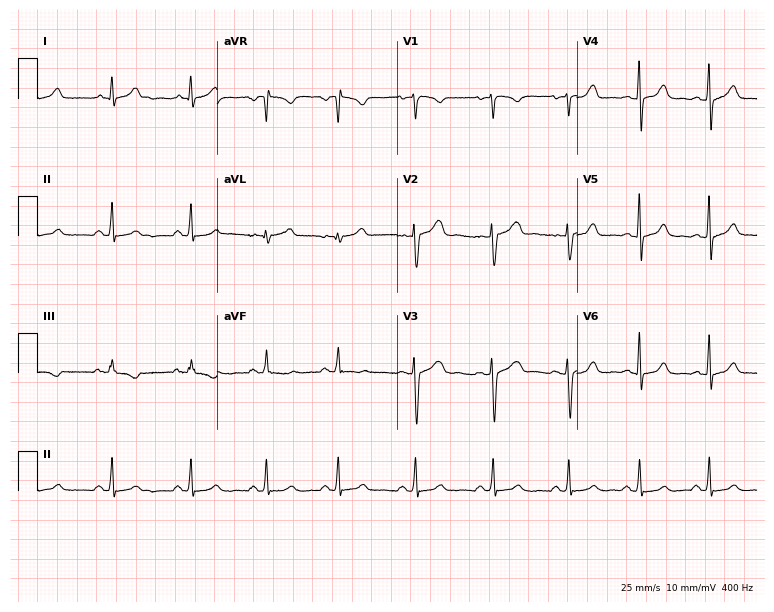
ECG (7.3-second recording at 400 Hz) — a 41-year-old female. Labelled as a normal ECG.